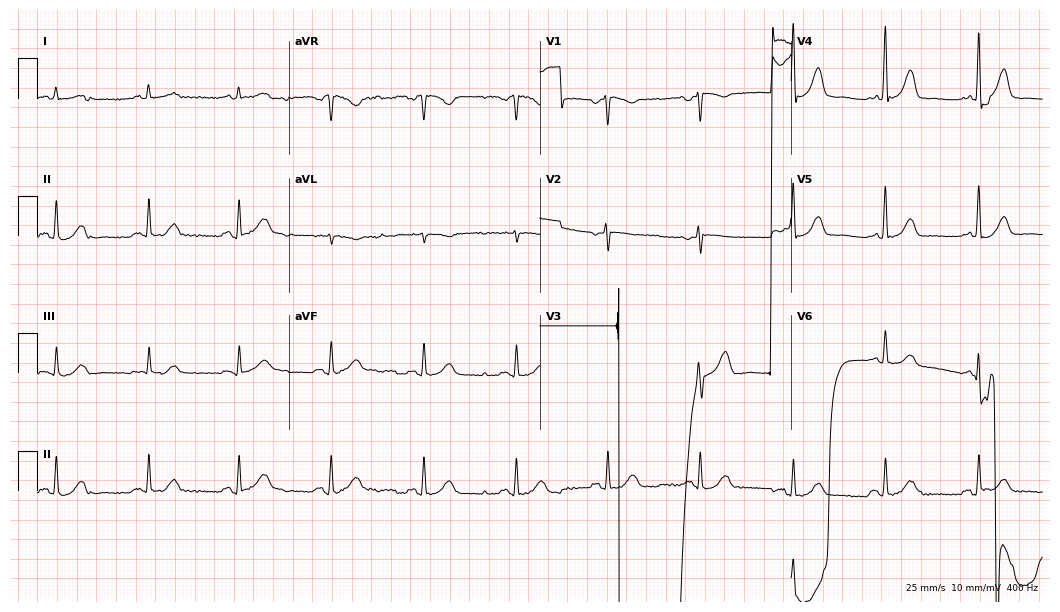
Resting 12-lead electrocardiogram (10.2-second recording at 400 Hz). Patient: a 63-year-old female. None of these six findings is recorded: first-degree AV block, right bundle branch block, left bundle branch block, sinus bradycardia, atrial fibrillation, sinus tachycardia.